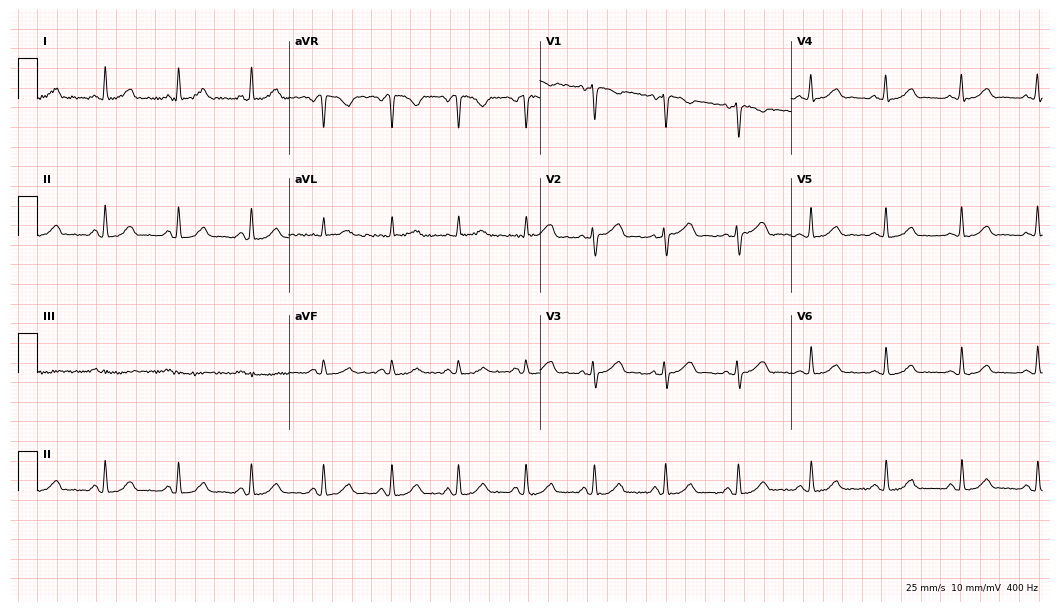
12-lead ECG from a female, 40 years old. Labelled as a normal ECG.